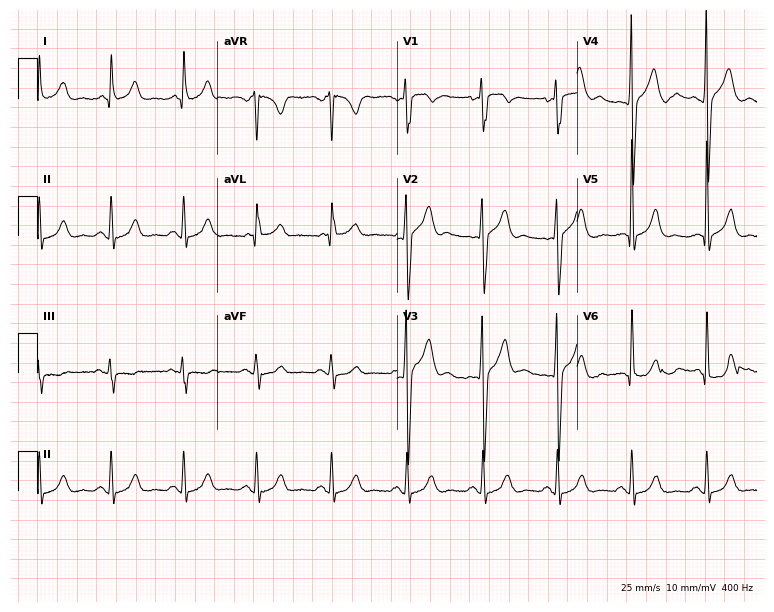
12-lead ECG from a male, 39 years old. Recorded interpretation: within normal limits.